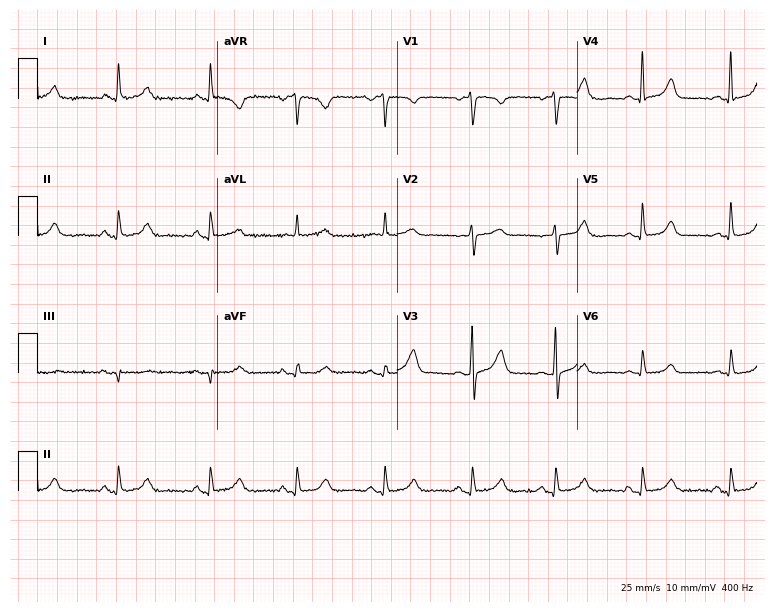
Resting 12-lead electrocardiogram. Patient: a 61-year-old female. Read as a normal ECG.